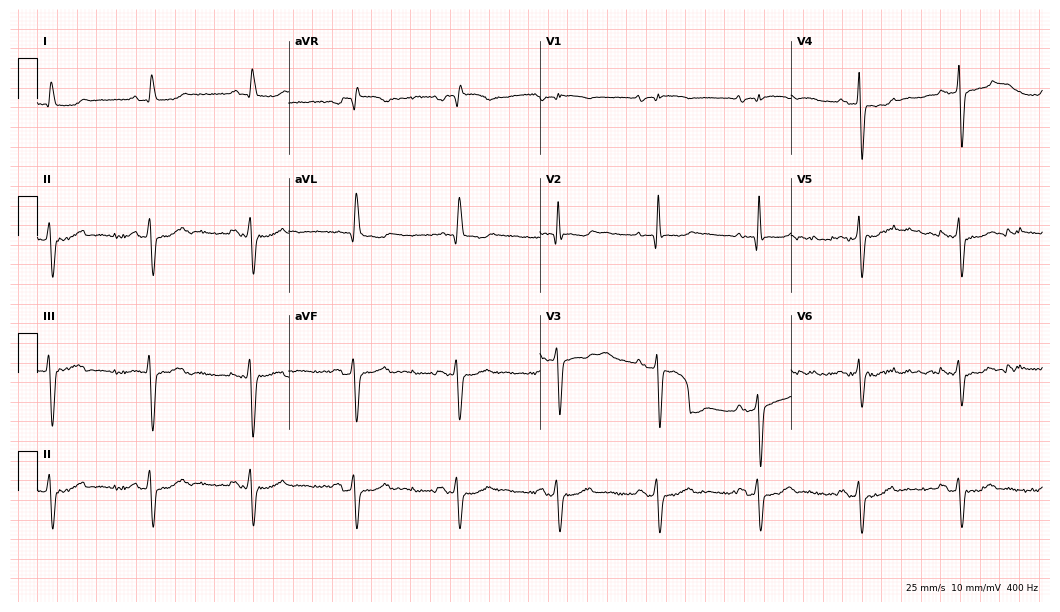
Electrocardiogram (10.2-second recording at 400 Hz), a woman, 79 years old. Of the six screened findings (first-degree AV block, right bundle branch block, left bundle branch block, sinus bradycardia, atrial fibrillation, sinus tachycardia), none is recorded. Findings outside these six are not listed.